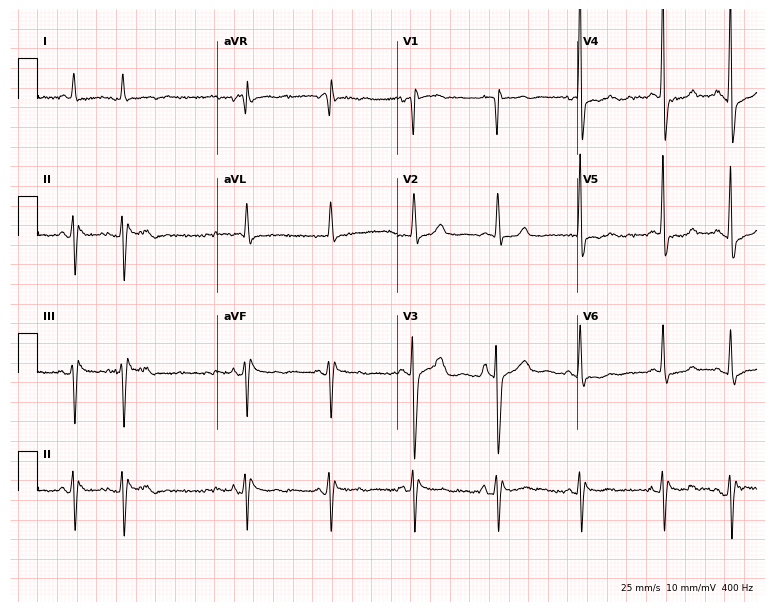
ECG — an 83-year-old male. Findings include right bundle branch block (RBBB).